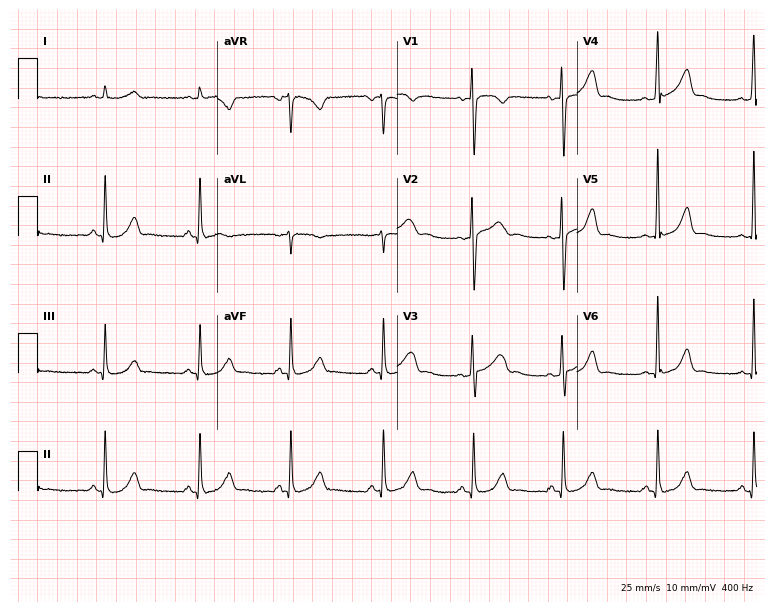
ECG (7.3-second recording at 400 Hz) — a woman, 33 years old. Screened for six findings — first-degree AV block, right bundle branch block, left bundle branch block, sinus bradycardia, atrial fibrillation, sinus tachycardia — none is recorded. Only these six findings were labelled.